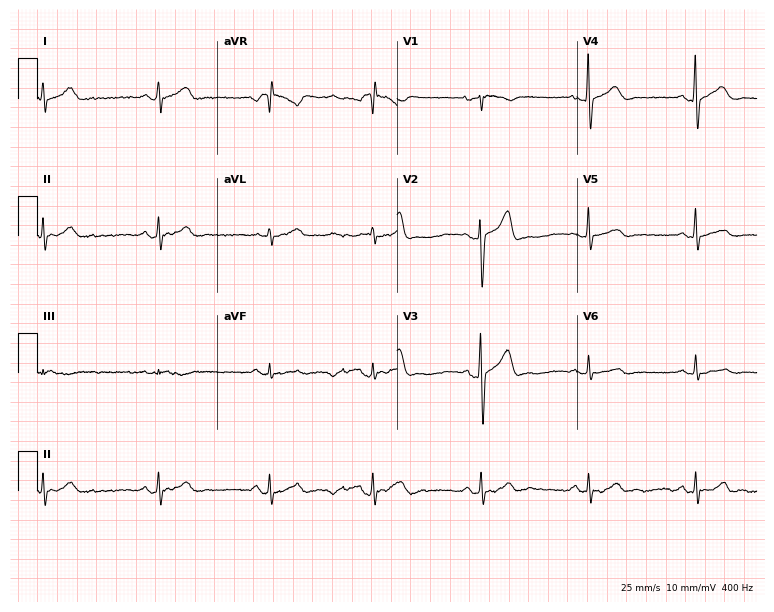
ECG (7.3-second recording at 400 Hz) — a man, 25 years old. Labelled as a normal ECG.